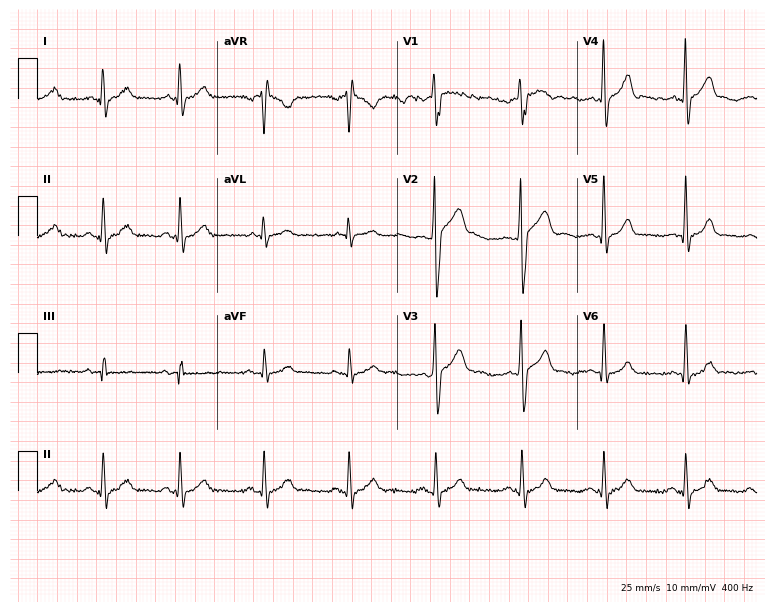
Standard 12-lead ECG recorded from a man, 29 years old. Read as a normal ECG.